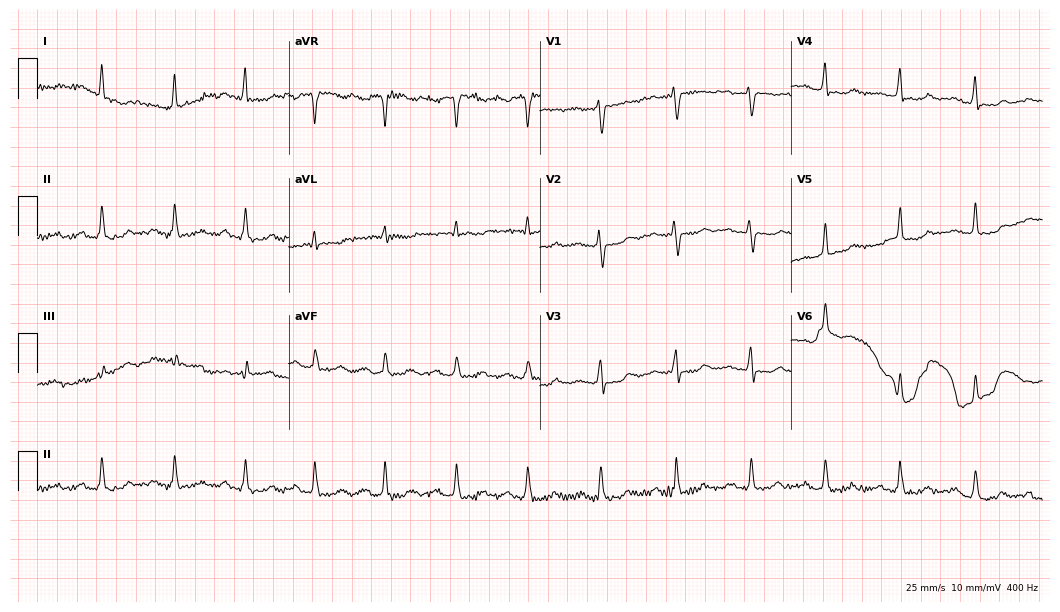
Electrocardiogram, a 48-year-old woman. Of the six screened findings (first-degree AV block, right bundle branch block (RBBB), left bundle branch block (LBBB), sinus bradycardia, atrial fibrillation (AF), sinus tachycardia), none is recorded.